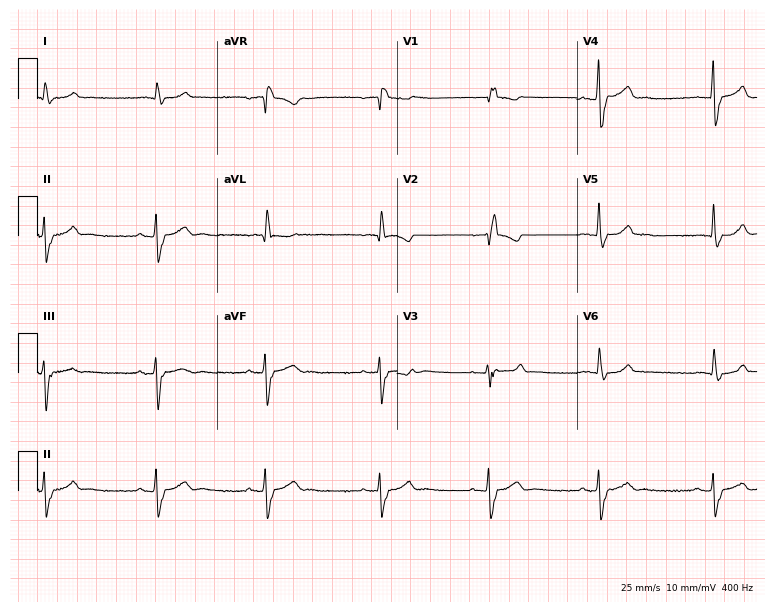
12-lead ECG from a 73-year-old female patient (7.3-second recording at 400 Hz). Shows right bundle branch block (RBBB).